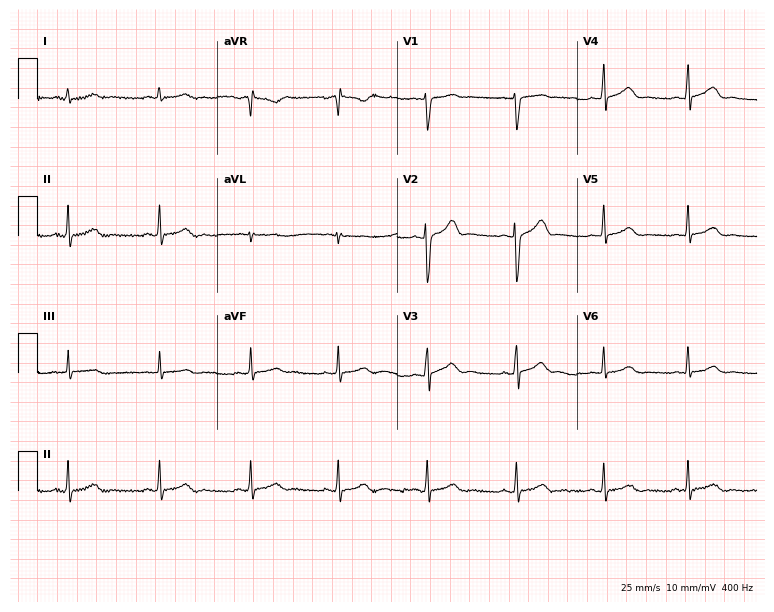
Standard 12-lead ECG recorded from a female patient, 25 years old. Read as a normal ECG.